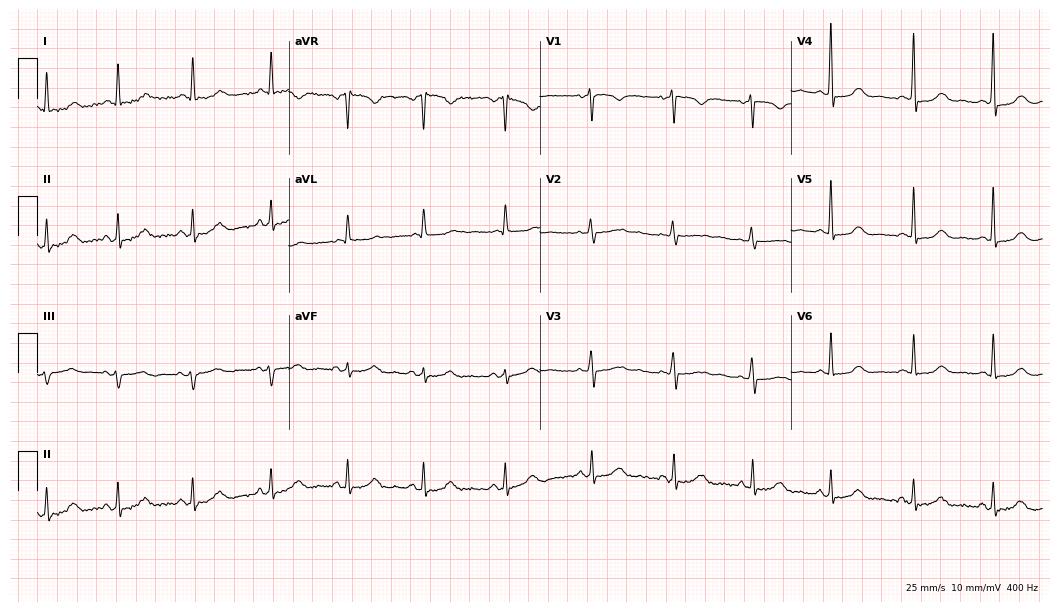
Resting 12-lead electrocardiogram. Patient: a female, 79 years old. None of these six findings is recorded: first-degree AV block, right bundle branch block (RBBB), left bundle branch block (LBBB), sinus bradycardia, atrial fibrillation (AF), sinus tachycardia.